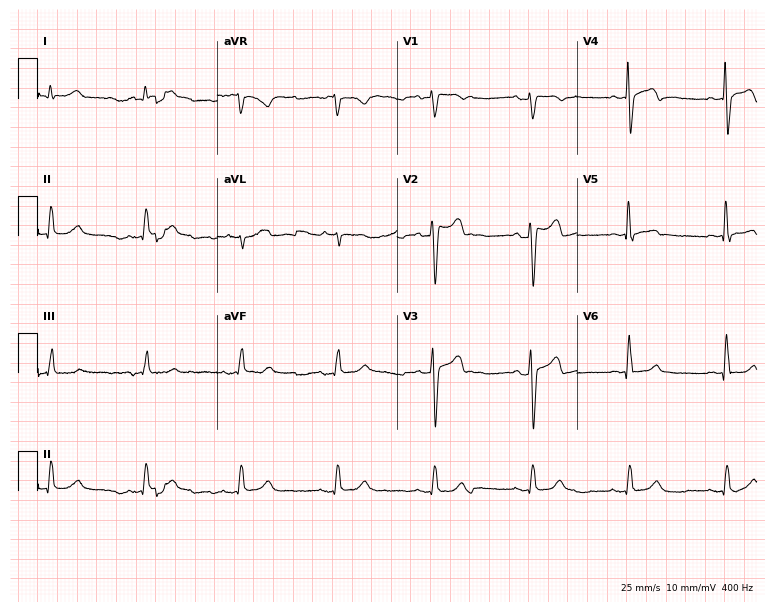
Electrocardiogram (7.3-second recording at 400 Hz), a male, 64 years old. Overall reading on record: normal ECG.